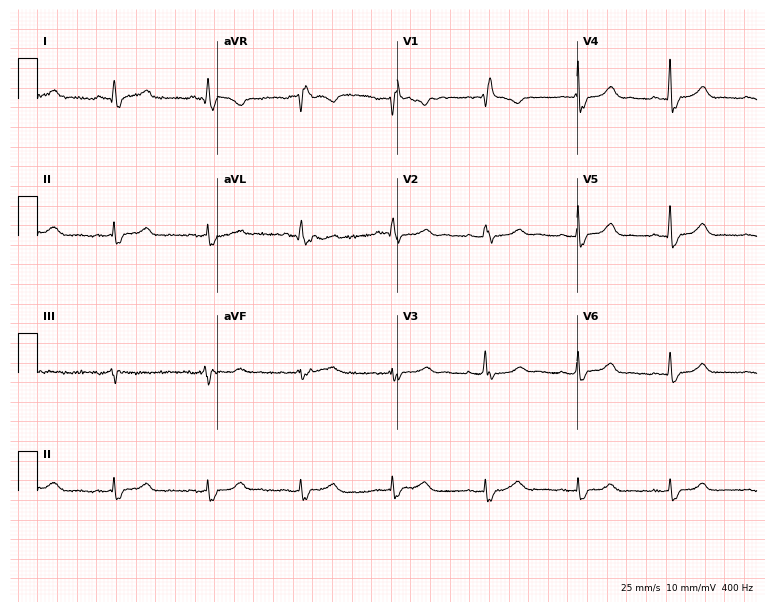
12-lead ECG from a female patient, 71 years old. Findings include right bundle branch block.